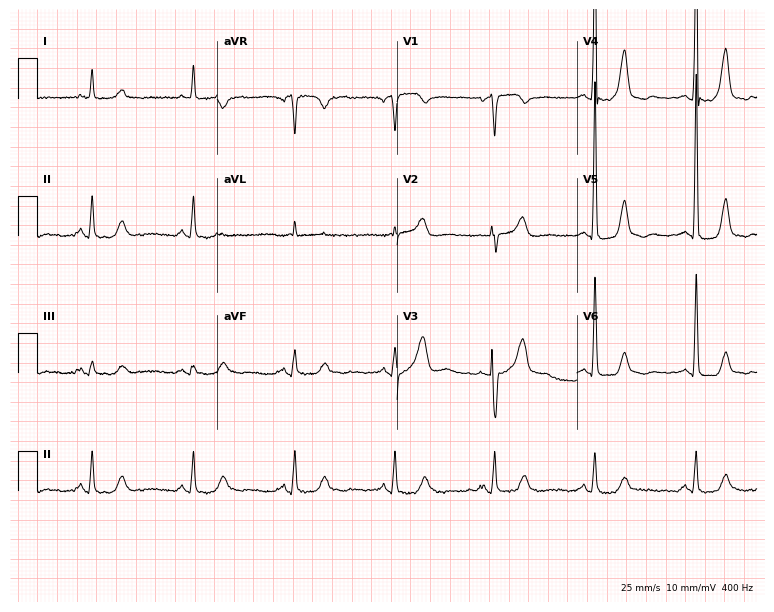
12-lead ECG (7.3-second recording at 400 Hz) from a 69-year-old female. Screened for six findings — first-degree AV block, right bundle branch block (RBBB), left bundle branch block (LBBB), sinus bradycardia, atrial fibrillation (AF), sinus tachycardia — none is recorded.